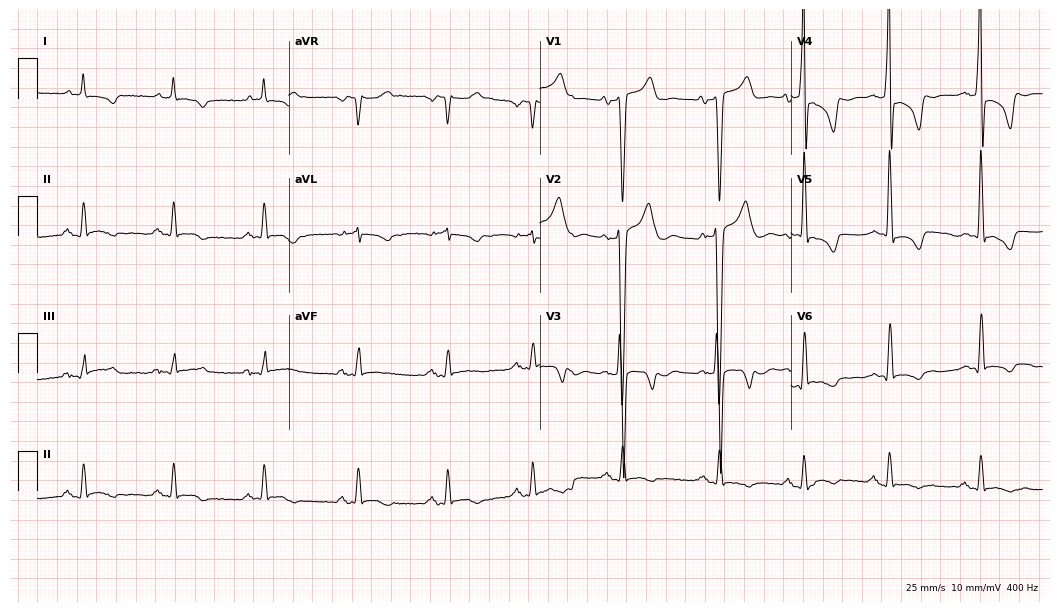
12-lead ECG from a male patient, 42 years old. Screened for six findings — first-degree AV block, right bundle branch block, left bundle branch block, sinus bradycardia, atrial fibrillation, sinus tachycardia — none is recorded. Other findings, if any, are not listed.